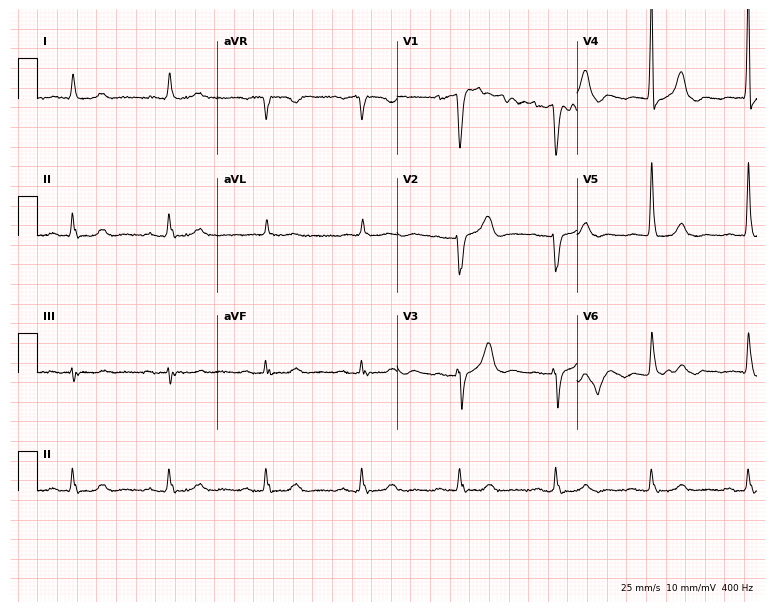
12-lead ECG from an 80-year-old man (7.3-second recording at 400 Hz). No first-degree AV block, right bundle branch block, left bundle branch block, sinus bradycardia, atrial fibrillation or sinus tachycardia recorded for this tracing. Findings outside these six are not listed.